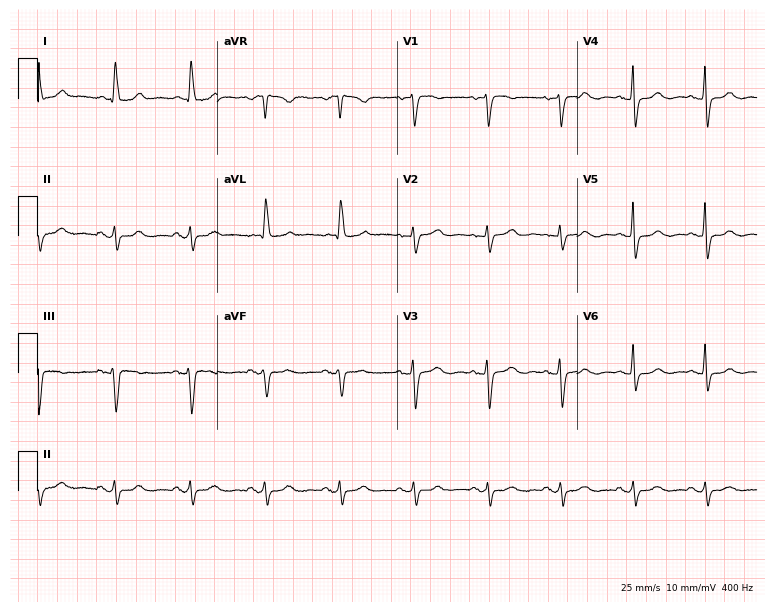
ECG (7.3-second recording at 400 Hz) — a woman, 82 years old. Screened for six findings — first-degree AV block, right bundle branch block, left bundle branch block, sinus bradycardia, atrial fibrillation, sinus tachycardia — none is recorded.